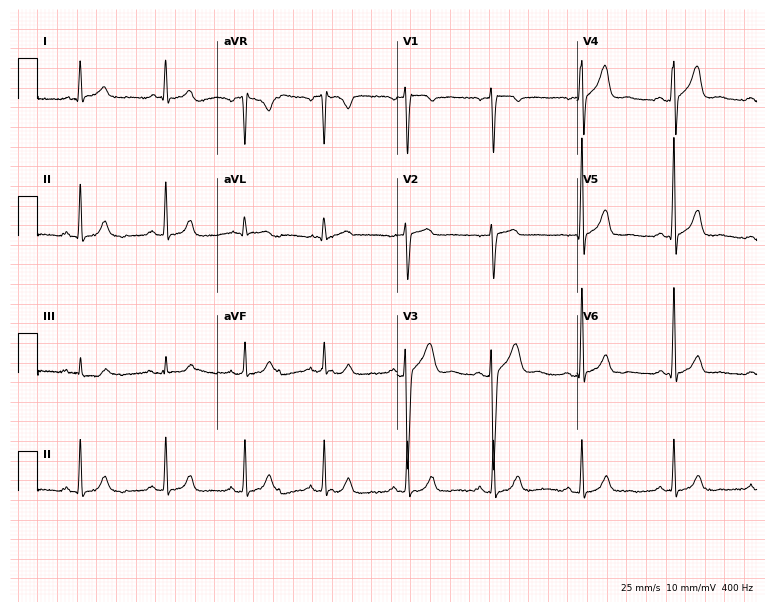
12-lead ECG (7.3-second recording at 400 Hz) from a male, 49 years old. Screened for six findings — first-degree AV block, right bundle branch block (RBBB), left bundle branch block (LBBB), sinus bradycardia, atrial fibrillation (AF), sinus tachycardia — none is recorded. Only these six findings were labelled.